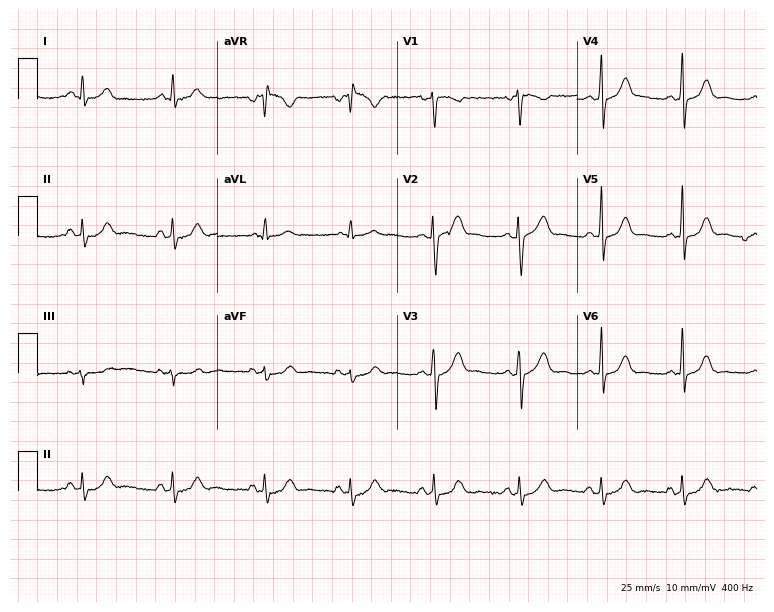
Resting 12-lead electrocardiogram (7.3-second recording at 400 Hz). Patient: a 36-year-old female. None of these six findings is recorded: first-degree AV block, right bundle branch block, left bundle branch block, sinus bradycardia, atrial fibrillation, sinus tachycardia. Other findings, if any, are not listed.